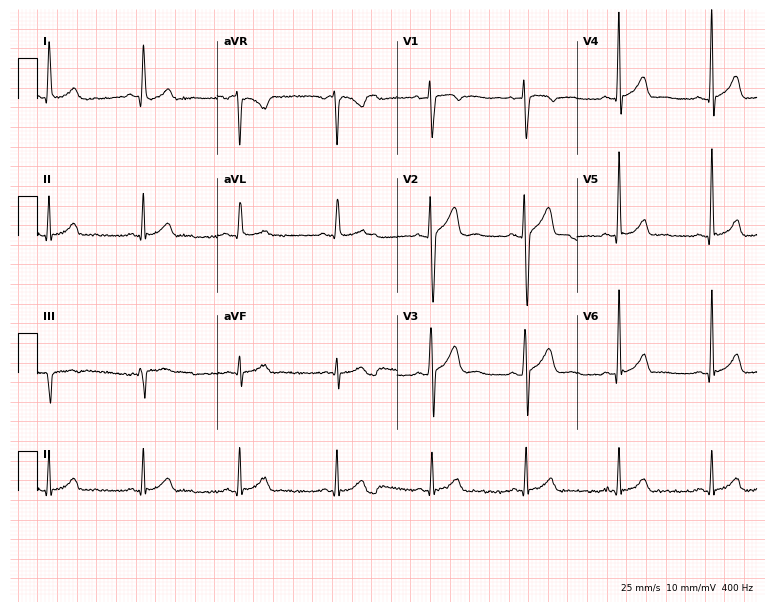
Resting 12-lead electrocardiogram (7.3-second recording at 400 Hz). Patient: a man, 35 years old. Read as a normal ECG.